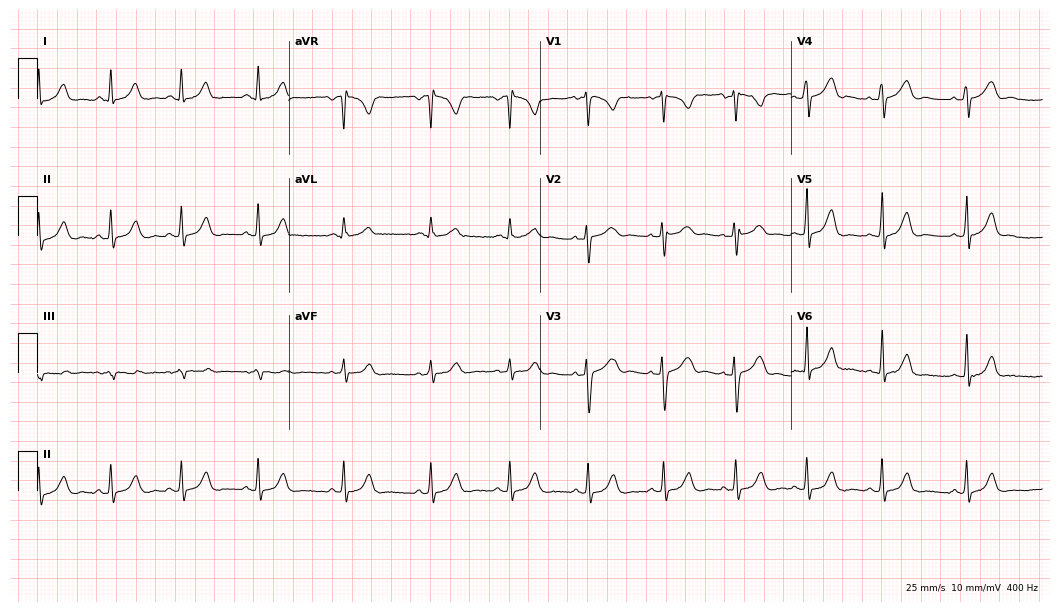
12-lead ECG from a female patient, 21 years old. Labelled as a normal ECG.